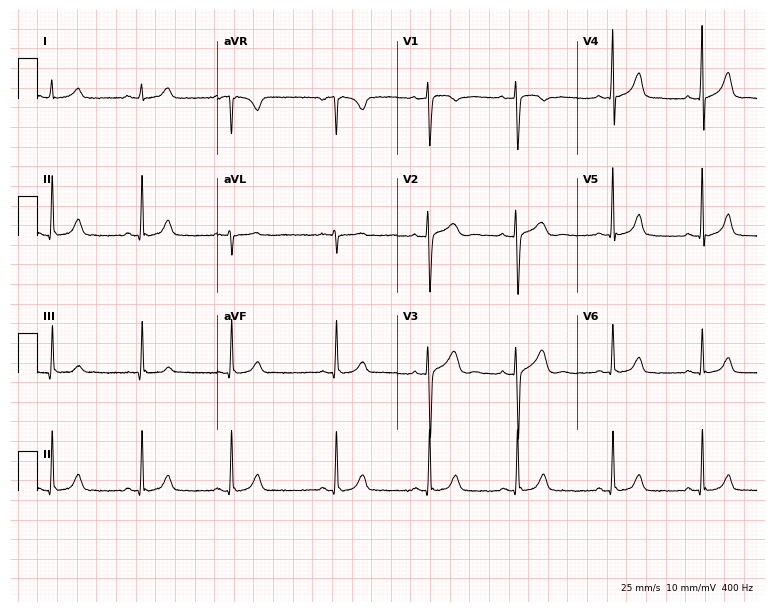
Standard 12-lead ECG recorded from a 21-year-old woman. Read as a normal ECG.